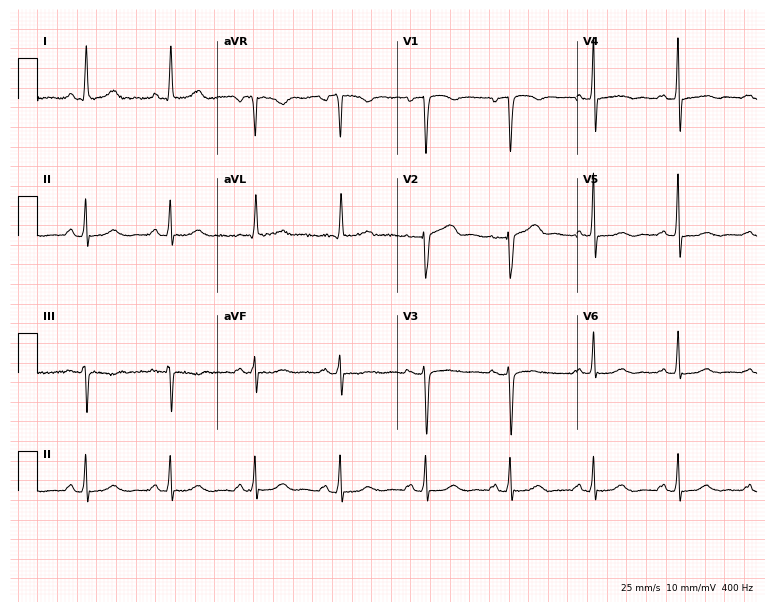
12-lead ECG from a female patient, 59 years old. No first-degree AV block, right bundle branch block (RBBB), left bundle branch block (LBBB), sinus bradycardia, atrial fibrillation (AF) or sinus tachycardia recorded for this tracing.